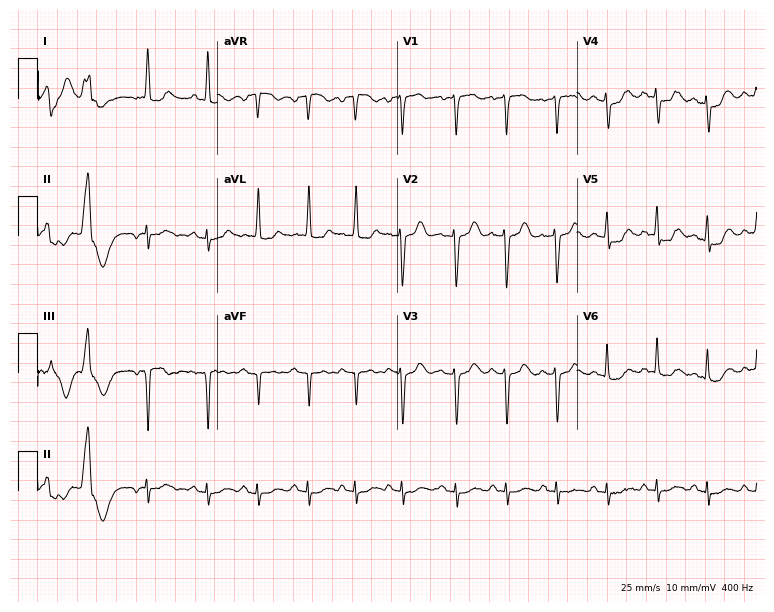
Standard 12-lead ECG recorded from an 81-year-old woman. The tracing shows sinus tachycardia (a sinus rate of 100 beats per minute or more).